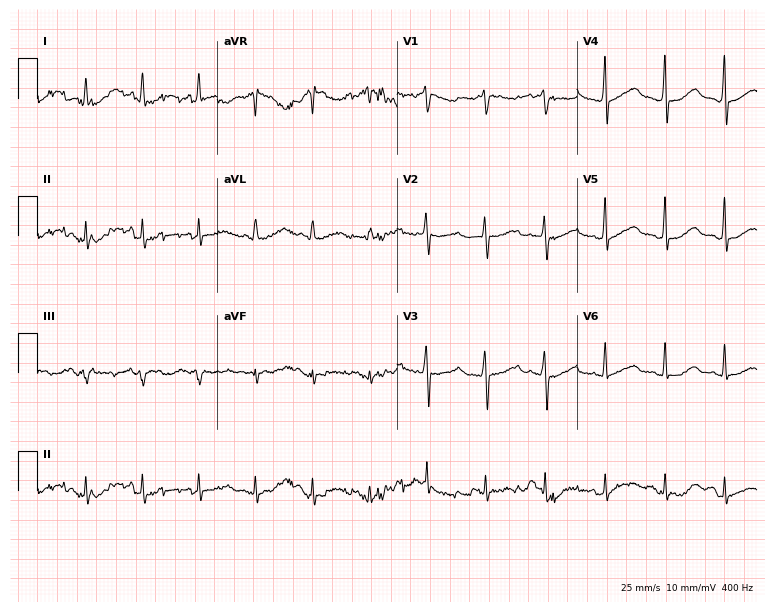
ECG (7.3-second recording at 400 Hz) — a 42-year-old male. Screened for six findings — first-degree AV block, right bundle branch block, left bundle branch block, sinus bradycardia, atrial fibrillation, sinus tachycardia — none is recorded.